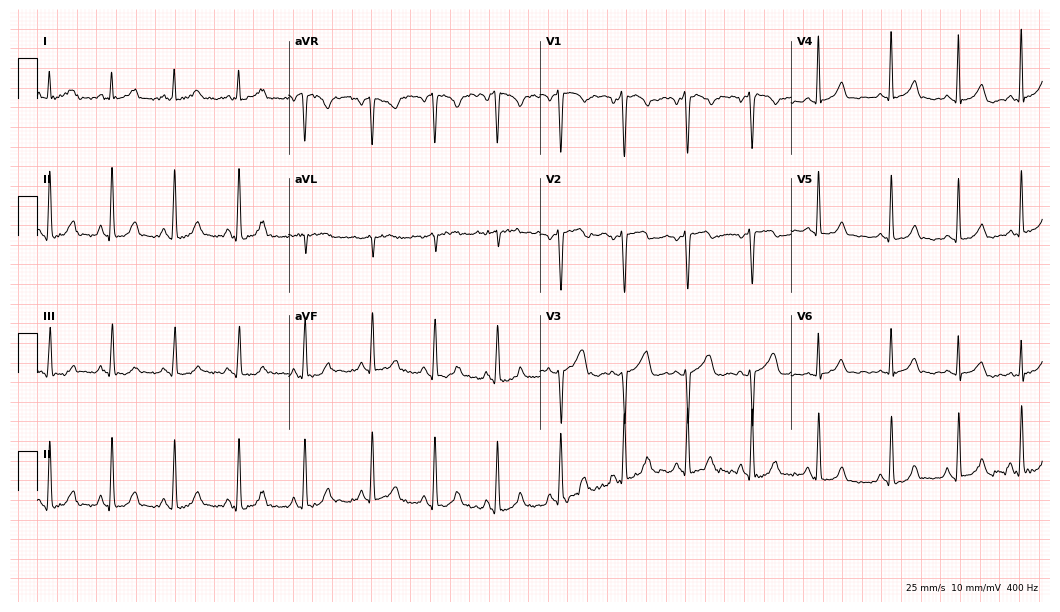
12-lead ECG from a 50-year-old female patient. Screened for six findings — first-degree AV block, right bundle branch block, left bundle branch block, sinus bradycardia, atrial fibrillation, sinus tachycardia — none is recorded.